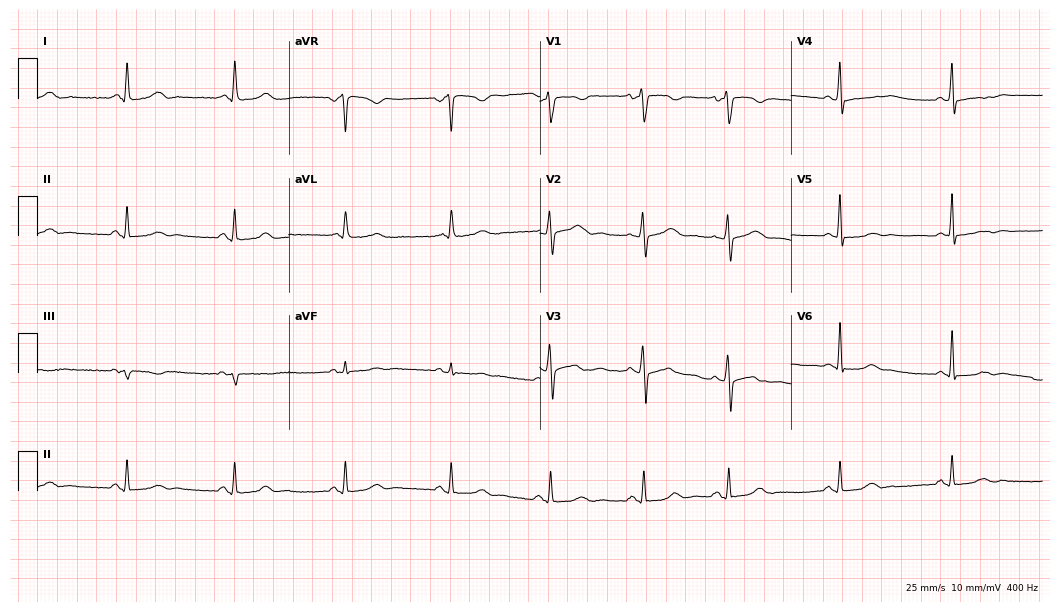
Resting 12-lead electrocardiogram (10.2-second recording at 400 Hz). Patient: a 34-year-old female. None of these six findings is recorded: first-degree AV block, right bundle branch block, left bundle branch block, sinus bradycardia, atrial fibrillation, sinus tachycardia. Findings outside these six are not listed.